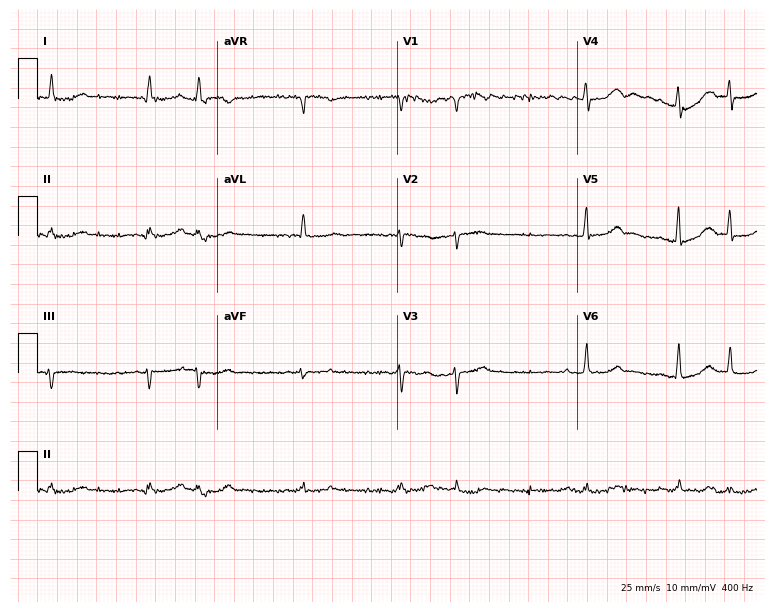
Electrocardiogram, a female, 84 years old. Of the six screened findings (first-degree AV block, right bundle branch block, left bundle branch block, sinus bradycardia, atrial fibrillation, sinus tachycardia), none is recorded. Other findings, if any, are not listed.